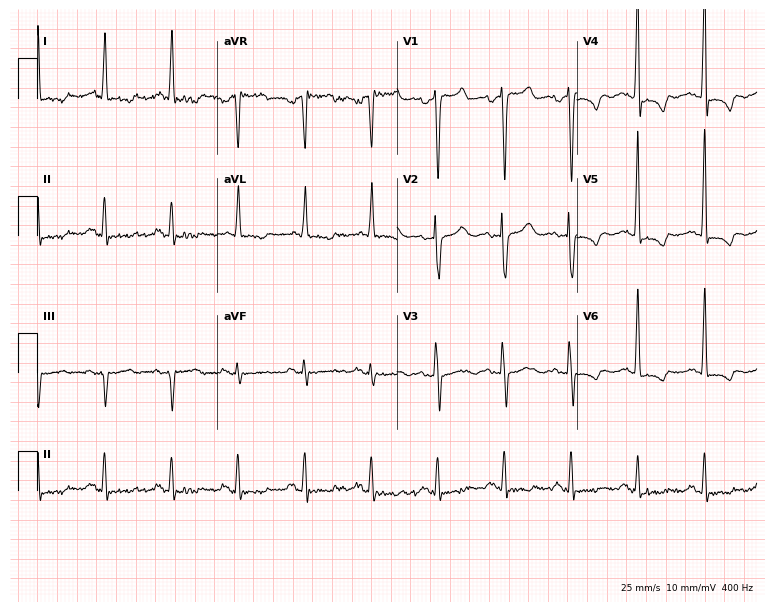
Resting 12-lead electrocardiogram (7.3-second recording at 400 Hz). Patient: a female, 76 years old. None of these six findings is recorded: first-degree AV block, right bundle branch block, left bundle branch block, sinus bradycardia, atrial fibrillation, sinus tachycardia. Findings outside these six are not listed.